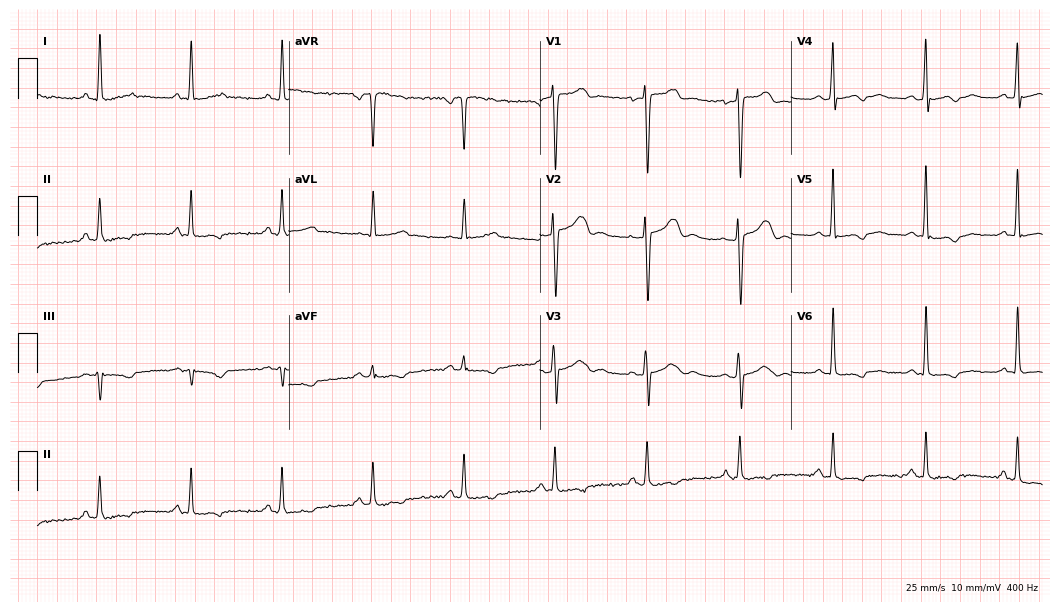
ECG (10.2-second recording at 400 Hz) — a woman, 48 years old. Screened for six findings — first-degree AV block, right bundle branch block (RBBB), left bundle branch block (LBBB), sinus bradycardia, atrial fibrillation (AF), sinus tachycardia — none is recorded. Other findings, if any, are not listed.